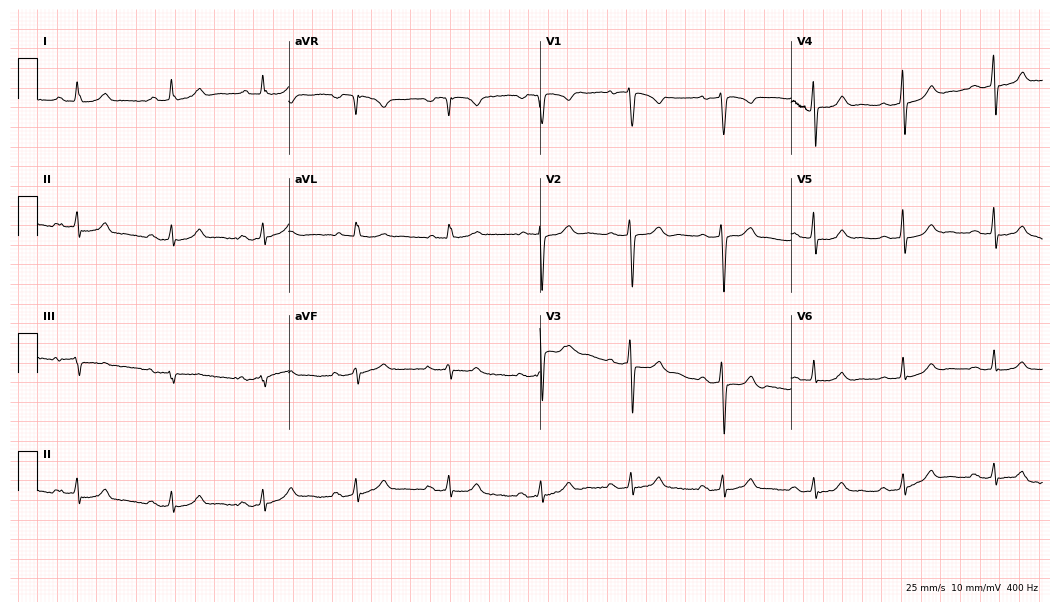
12-lead ECG from a male patient, 67 years old (10.2-second recording at 400 Hz). Recorded interpretation: within normal limits.